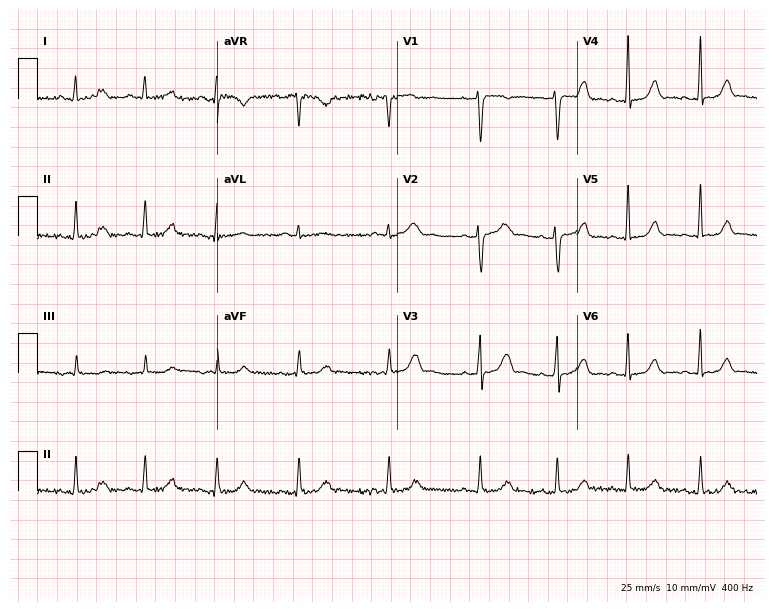
Resting 12-lead electrocardiogram (7.3-second recording at 400 Hz). Patient: a 38-year-old female. None of these six findings is recorded: first-degree AV block, right bundle branch block, left bundle branch block, sinus bradycardia, atrial fibrillation, sinus tachycardia. Only these six findings were labelled.